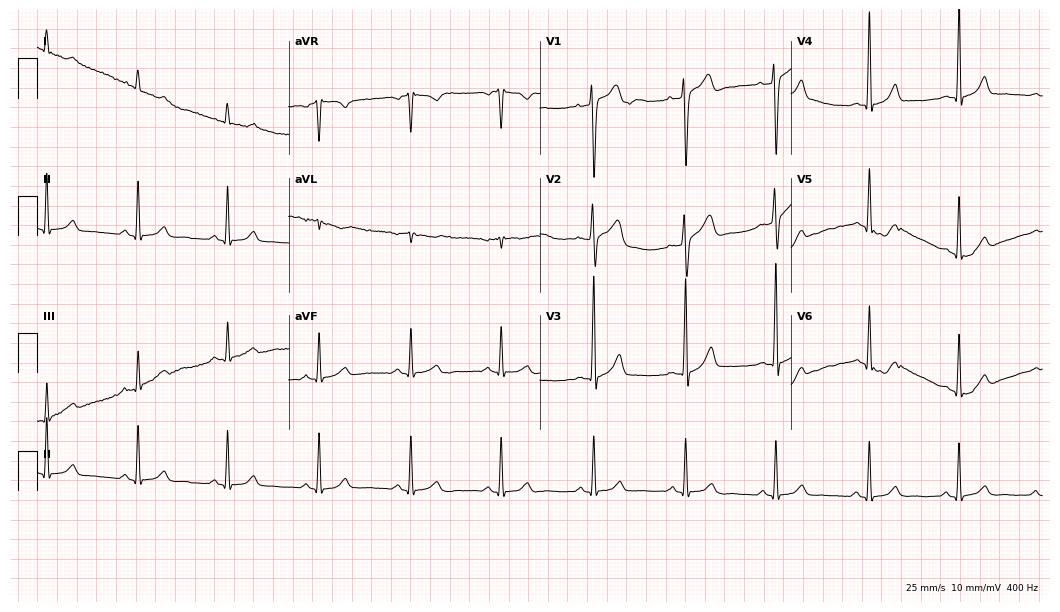
12-lead ECG from a 40-year-old male patient (10.2-second recording at 400 Hz). Recorded interpretation: within normal limits.